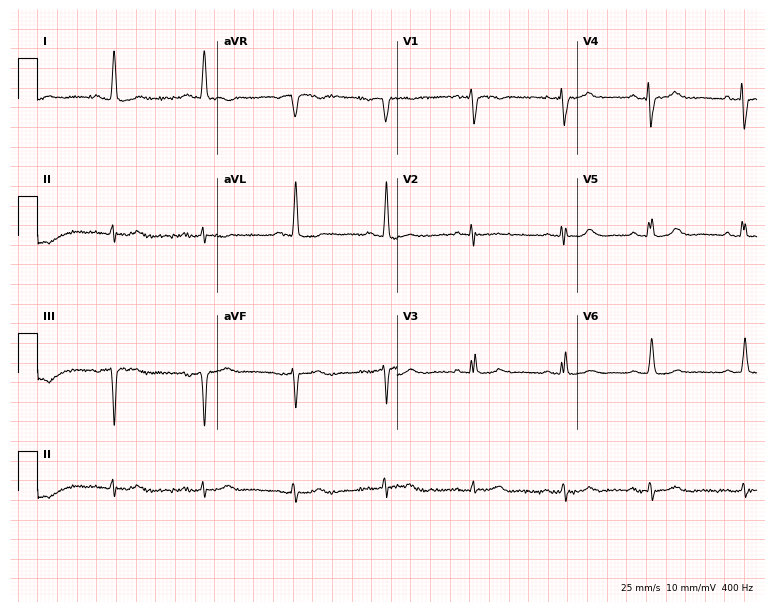
ECG — a female, 79 years old. Screened for six findings — first-degree AV block, right bundle branch block, left bundle branch block, sinus bradycardia, atrial fibrillation, sinus tachycardia — none is recorded. Only these six findings were labelled.